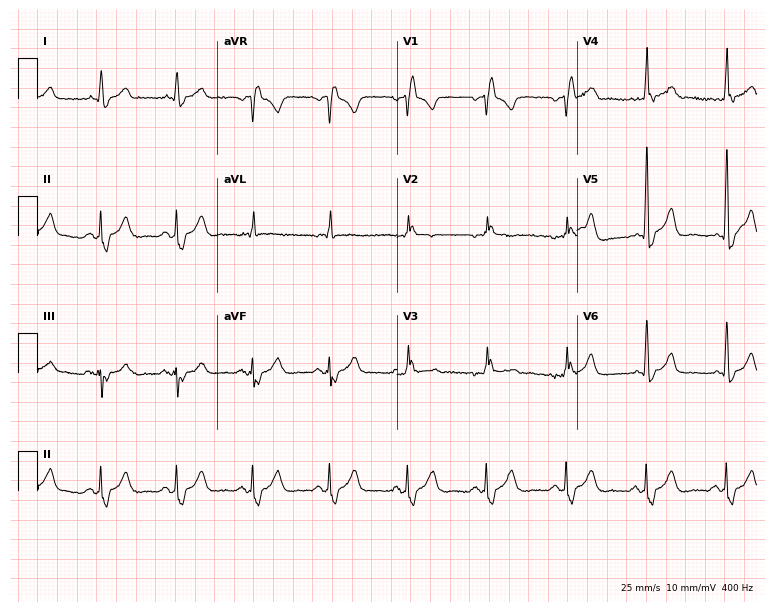
ECG (7.3-second recording at 400 Hz) — a 73-year-old man. Findings include right bundle branch block.